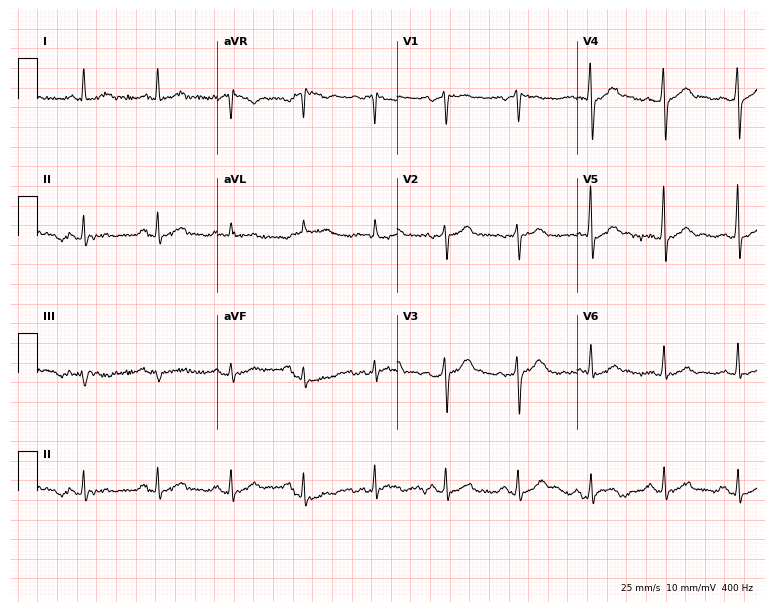
Standard 12-lead ECG recorded from a 43-year-old male. Read as a normal ECG.